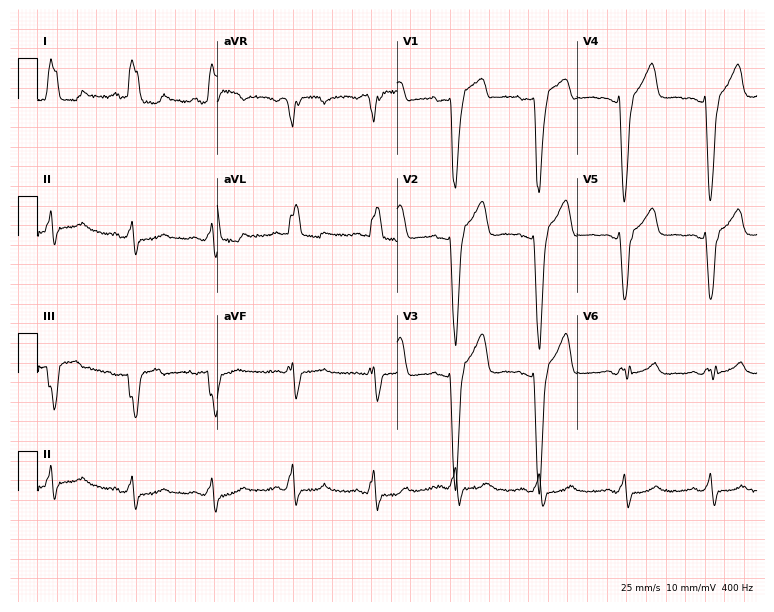
Standard 12-lead ECG recorded from a 55-year-old female patient (7.3-second recording at 400 Hz). The tracing shows left bundle branch block.